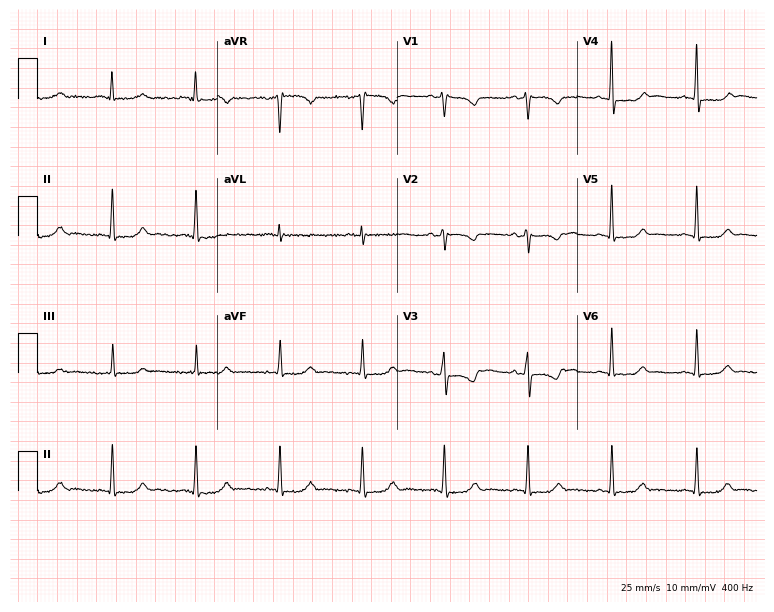
12-lead ECG (7.3-second recording at 400 Hz) from a woman, 65 years old. Screened for six findings — first-degree AV block, right bundle branch block (RBBB), left bundle branch block (LBBB), sinus bradycardia, atrial fibrillation (AF), sinus tachycardia — none is recorded. Findings outside these six are not listed.